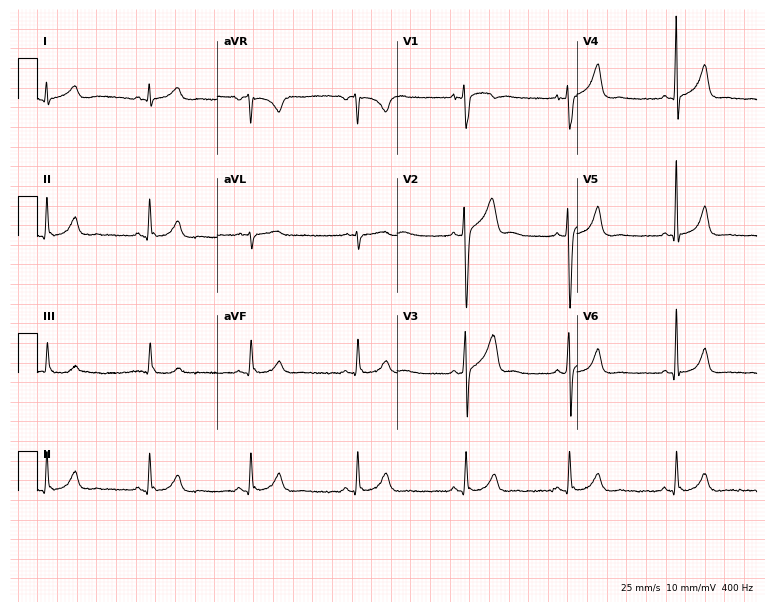
12-lead ECG from a 34-year-old man. Recorded interpretation: within normal limits.